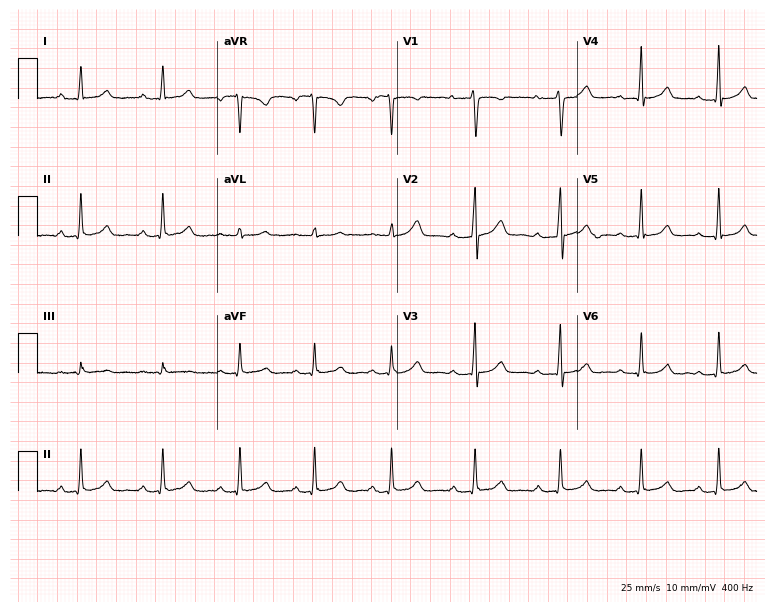
12-lead ECG from a 25-year-old female patient. Screened for six findings — first-degree AV block, right bundle branch block, left bundle branch block, sinus bradycardia, atrial fibrillation, sinus tachycardia — none is recorded.